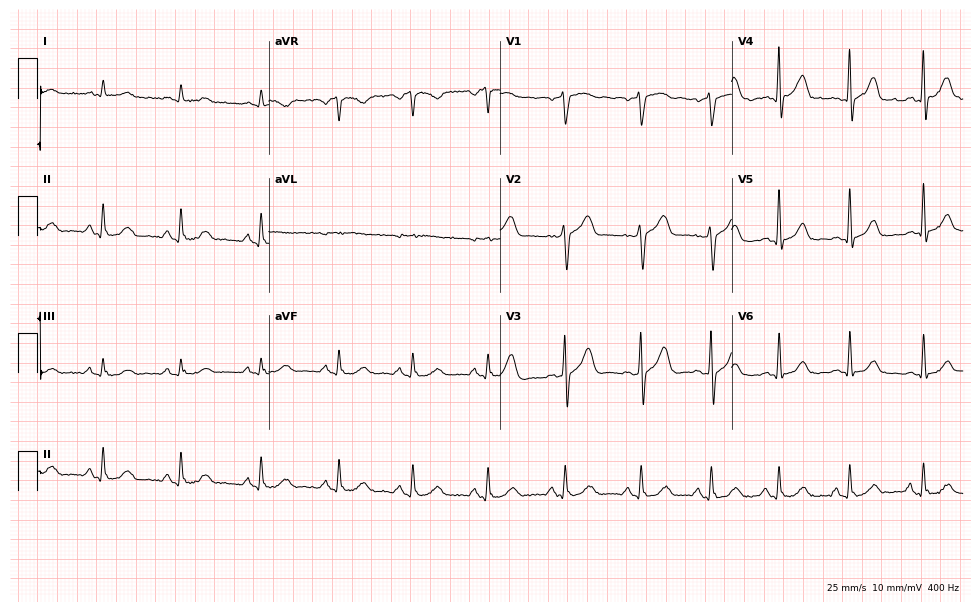
ECG — a man, 61 years old. Screened for six findings — first-degree AV block, right bundle branch block, left bundle branch block, sinus bradycardia, atrial fibrillation, sinus tachycardia — none is recorded. Only these six findings were labelled.